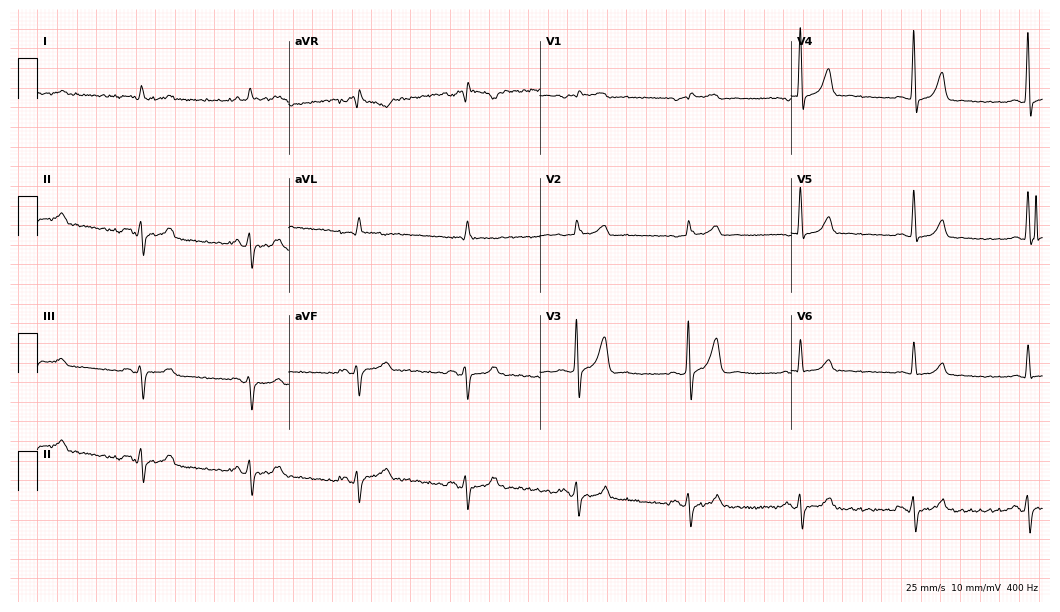
12-lead ECG from a 55-year-old man. No first-degree AV block, right bundle branch block (RBBB), left bundle branch block (LBBB), sinus bradycardia, atrial fibrillation (AF) or sinus tachycardia recorded for this tracing.